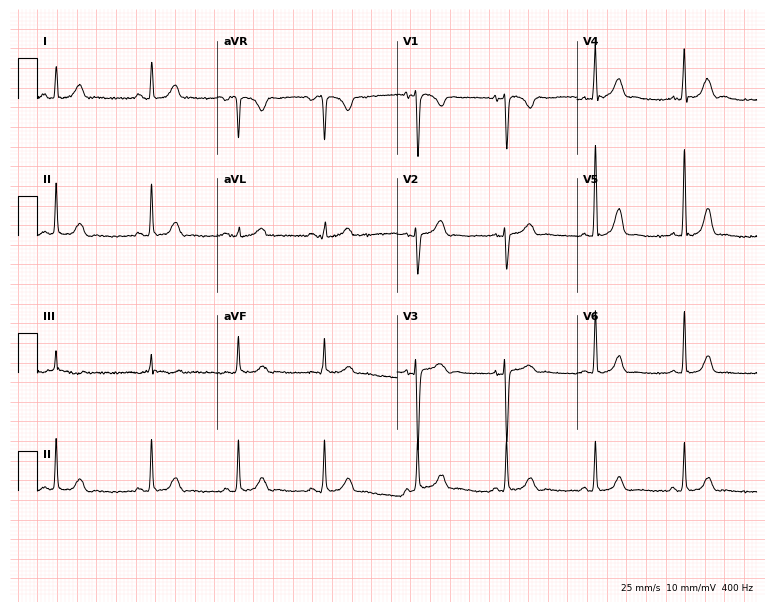
Electrocardiogram (7.3-second recording at 400 Hz), a female, 43 years old. Overall reading on record: normal ECG.